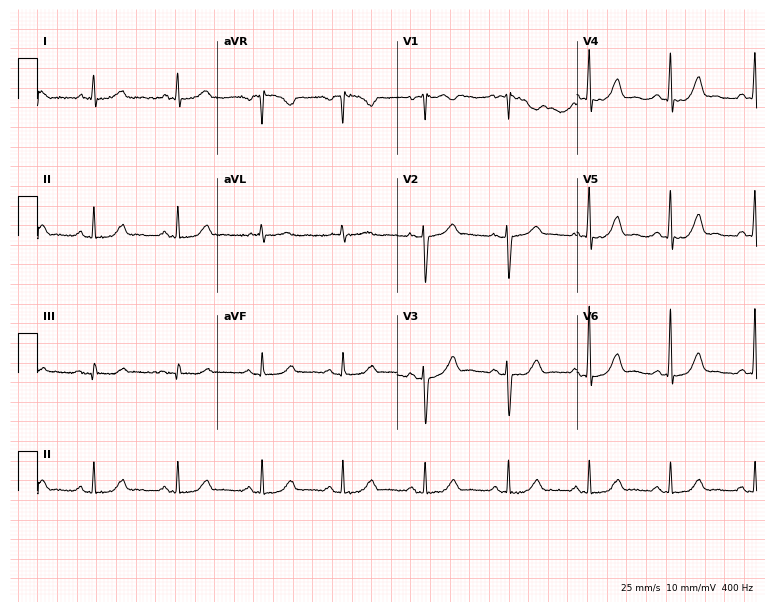
Electrocardiogram, a female, 80 years old. Overall reading on record: normal ECG.